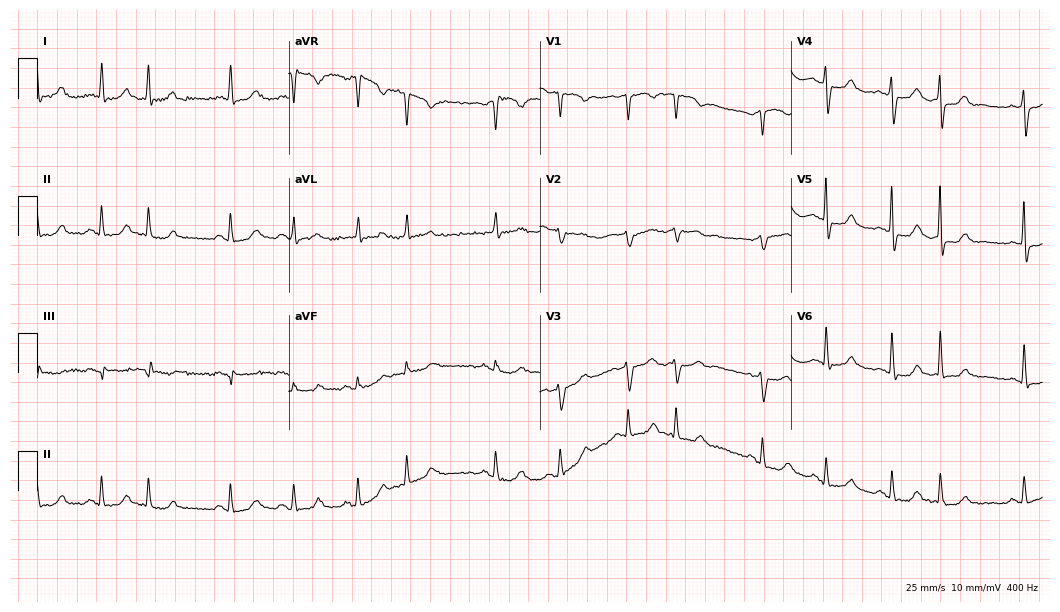
Resting 12-lead electrocardiogram (10.2-second recording at 400 Hz). Patient: a female, 71 years old. None of these six findings is recorded: first-degree AV block, right bundle branch block (RBBB), left bundle branch block (LBBB), sinus bradycardia, atrial fibrillation (AF), sinus tachycardia. Only these six findings were labelled.